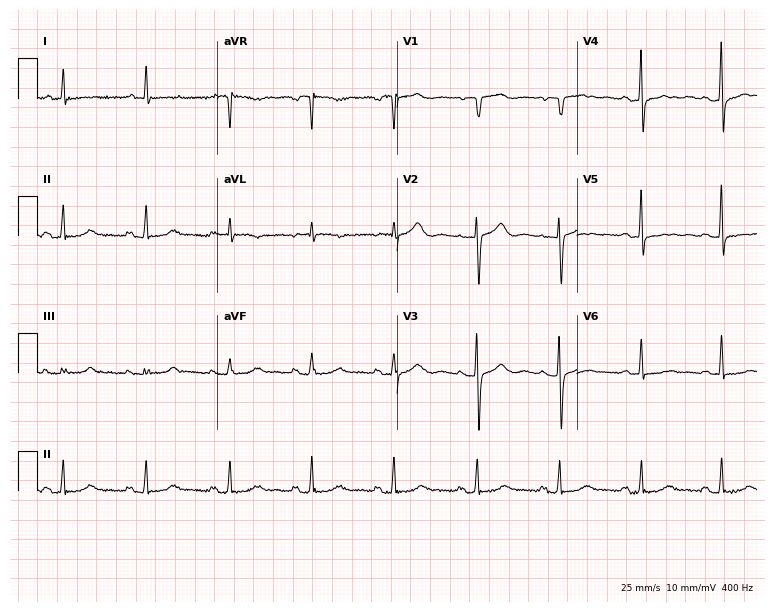
Electrocardiogram, a female patient, 71 years old. Of the six screened findings (first-degree AV block, right bundle branch block, left bundle branch block, sinus bradycardia, atrial fibrillation, sinus tachycardia), none is recorded. Only these six findings were labelled.